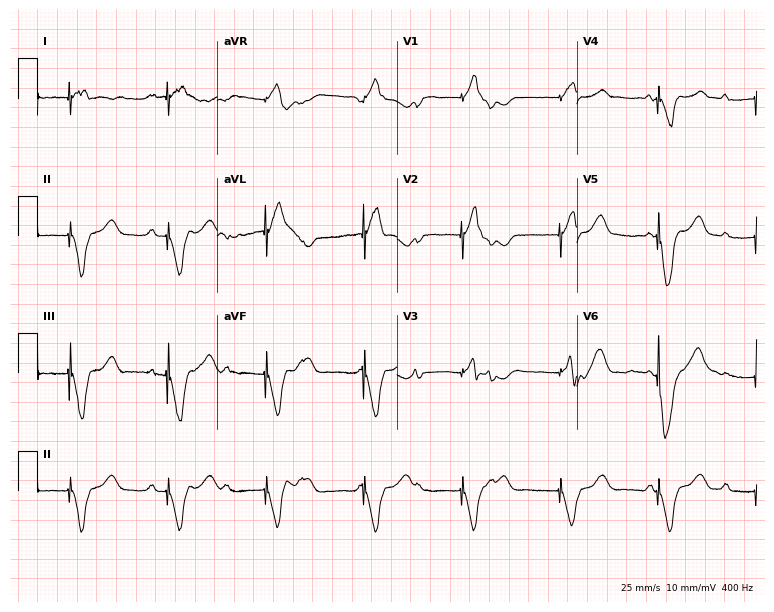
Resting 12-lead electrocardiogram (7.3-second recording at 400 Hz). Patient: a 41-year-old male. None of these six findings is recorded: first-degree AV block, right bundle branch block, left bundle branch block, sinus bradycardia, atrial fibrillation, sinus tachycardia.